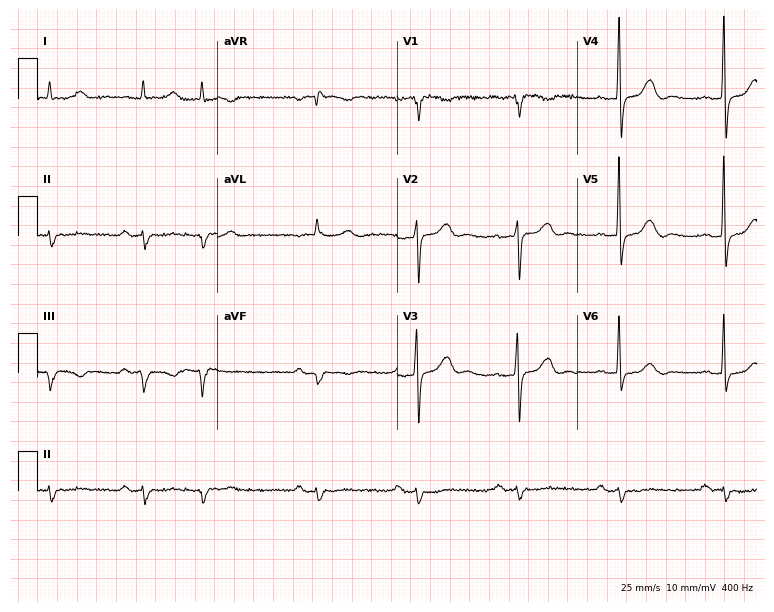
Resting 12-lead electrocardiogram (7.3-second recording at 400 Hz). Patient: a 78-year-old male. None of these six findings is recorded: first-degree AV block, right bundle branch block, left bundle branch block, sinus bradycardia, atrial fibrillation, sinus tachycardia. Other findings, if any, are not listed.